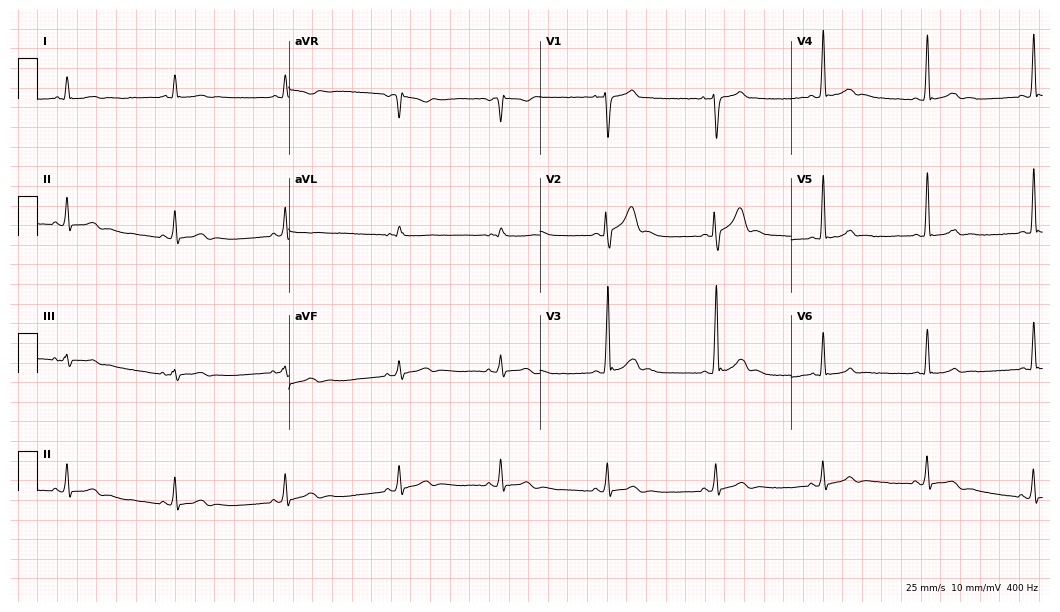
Electrocardiogram (10.2-second recording at 400 Hz), an 18-year-old man. Of the six screened findings (first-degree AV block, right bundle branch block, left bundle branch block, sinus bradycardia, atrial fibrillation, sinus tachycardia), none is recorded. Other findings, if any, are not listed.